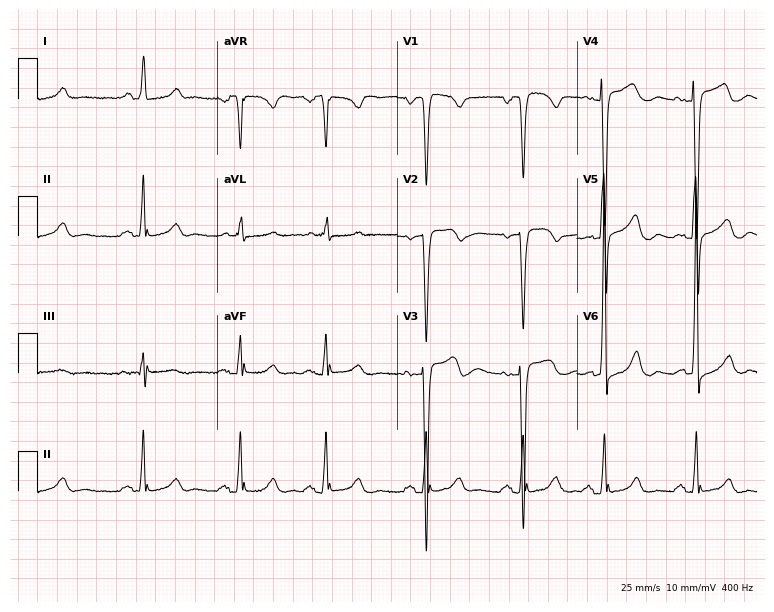
12-lead ECG (7.3-second recording at 400 Hz) from a 49-year-old female. Screened for six findings — first-degree AV block, right bundle branch block, left bundle branch block, sinus bradycardia, atrial fibrillation, sinus tachycardia — none is recorded. Only these six findings were labelled.